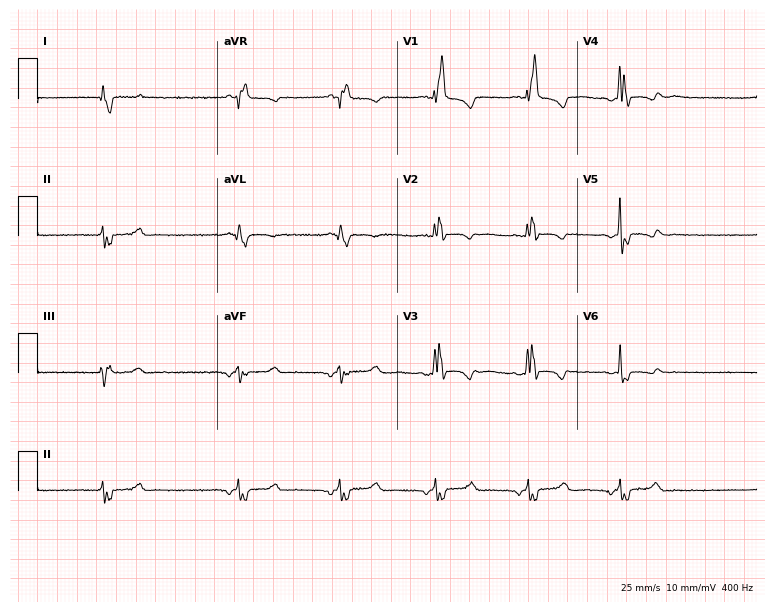
12-lead ECG (7.3-second recording at 400 Hz) from a 65-year-old woman. Findings include right bundle branch block (RBBB).